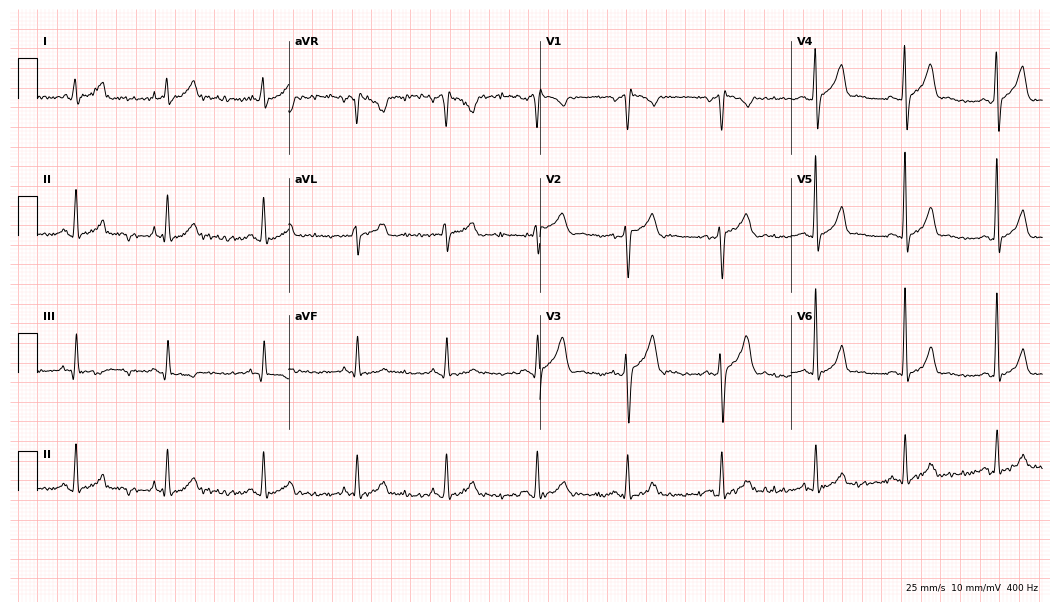
12-lead ECG from a man, 32 years old. Recorded interpretation: within normal limits.